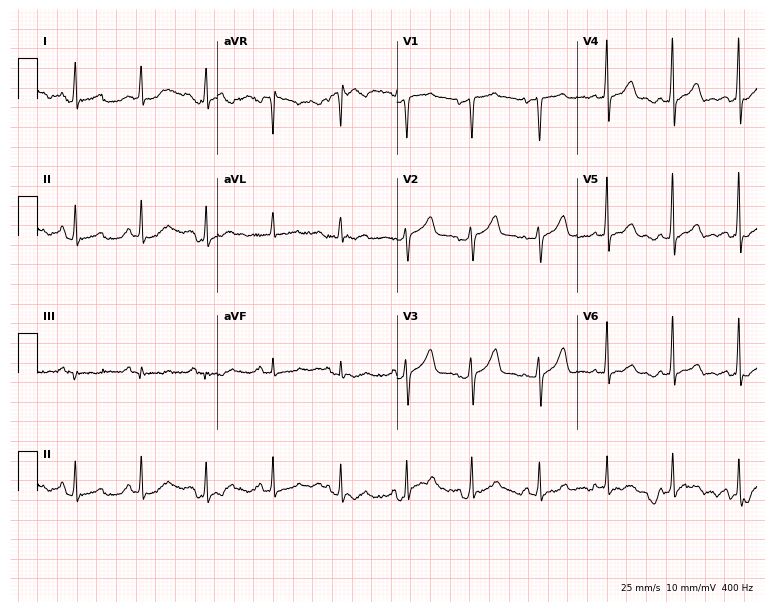
12-lead ECG from a 56-year-old female patient (7.3-second recording at 400 Hz). Recorded interpretation: within normal limits.